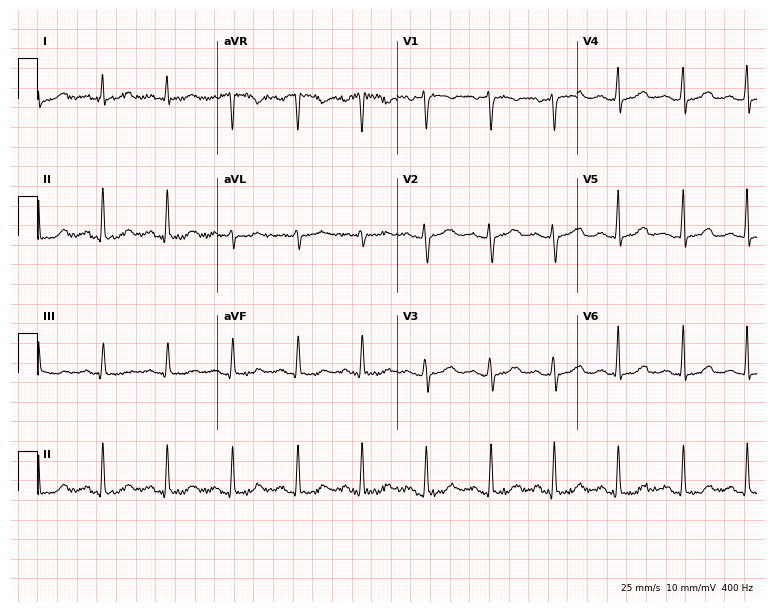
12-lead ECG from a female patient, 50 years old. Recorded interpretation: within normal limits.